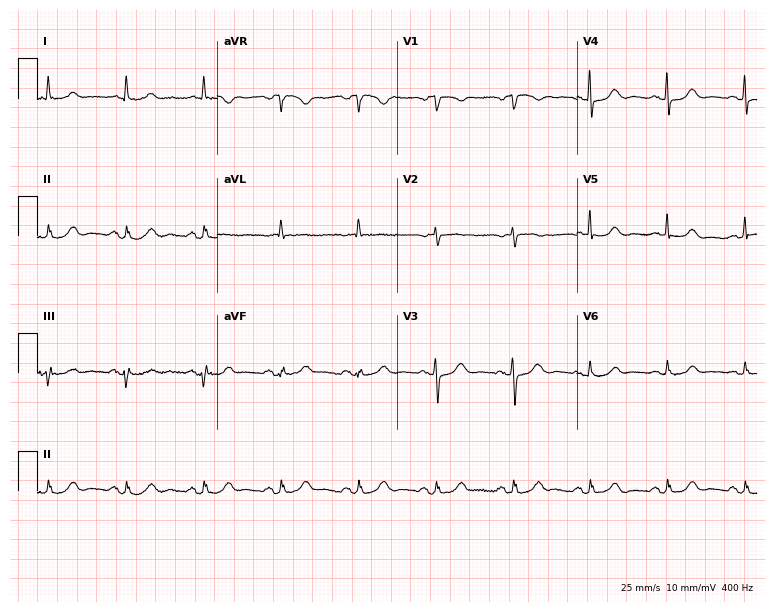
ECG — a 76-year-old woman. Labelled as a normal ECG.